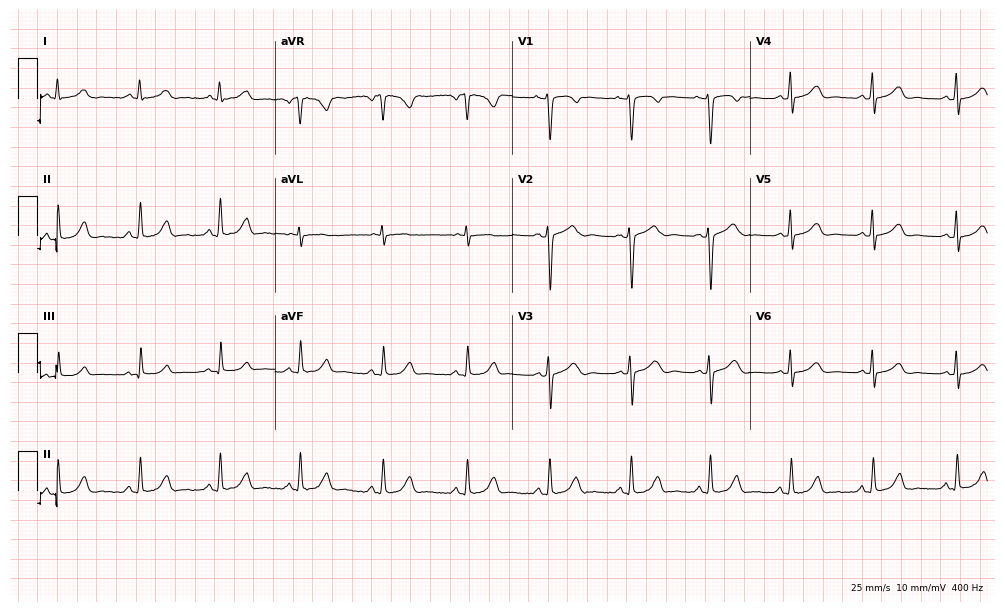
Resting 12-lead electrocardiogram (9.7-second recording at 400 Hz). Patient: a 38-year-old woman. Read as a normal ECG.